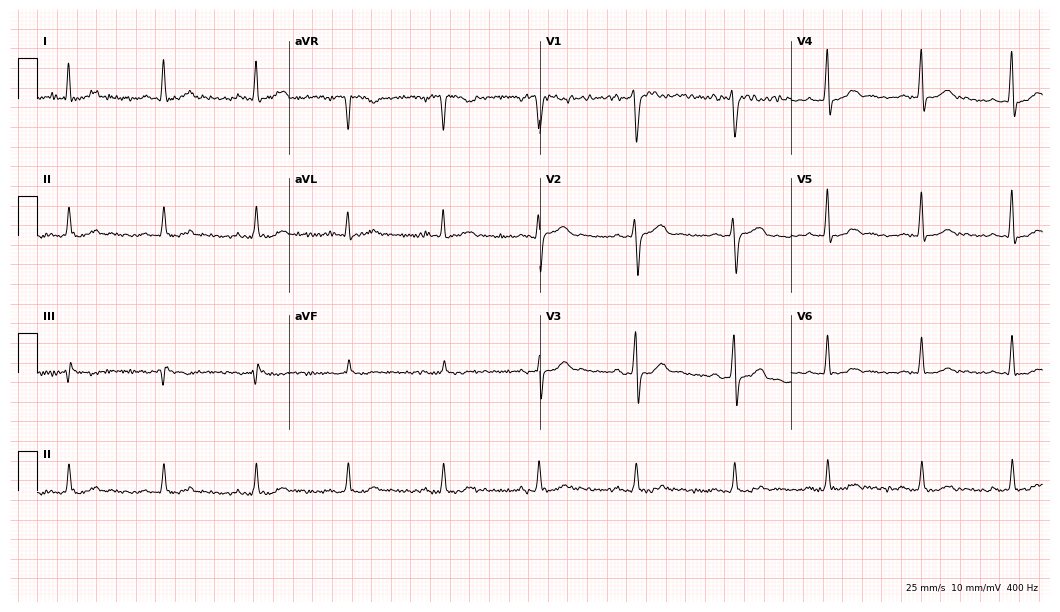
12-lead ECG from a 33-year-old male patient (10.2-second recording at 400 Hz). No first-degree AV block, right bundle branch block (RBBB), left bundle branch block (LBBB), sinus bradycardia, atrial fibrillation (AF) or sinus tachycardia recorded for this tracing. Other findings, if any, are not listed.